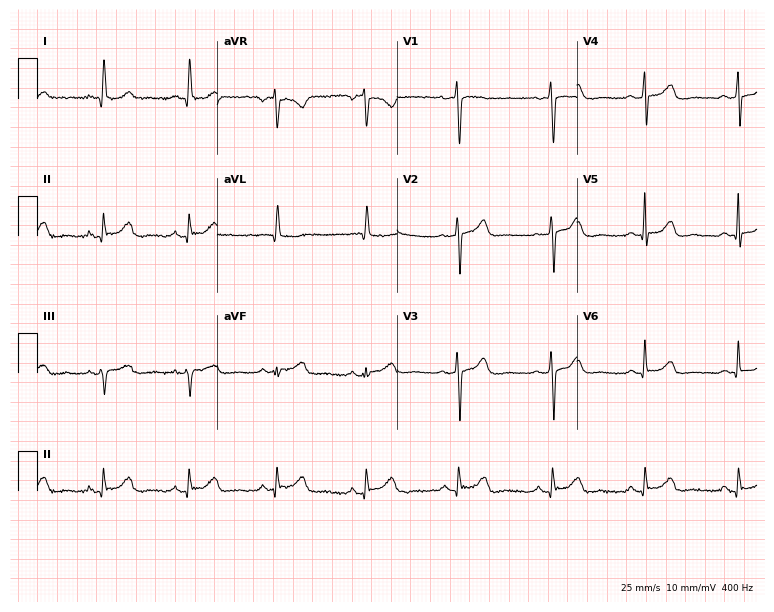
ECG — a 67-year-old female. Screened for six findings — first-degree AV block, right bundle branch block (RBBB), left bundle branch block (LBBB), sinus bradycardia, atrial fibrillation (AF), sinus tachycardia — none is recorded. Findings outside these six are not listed.